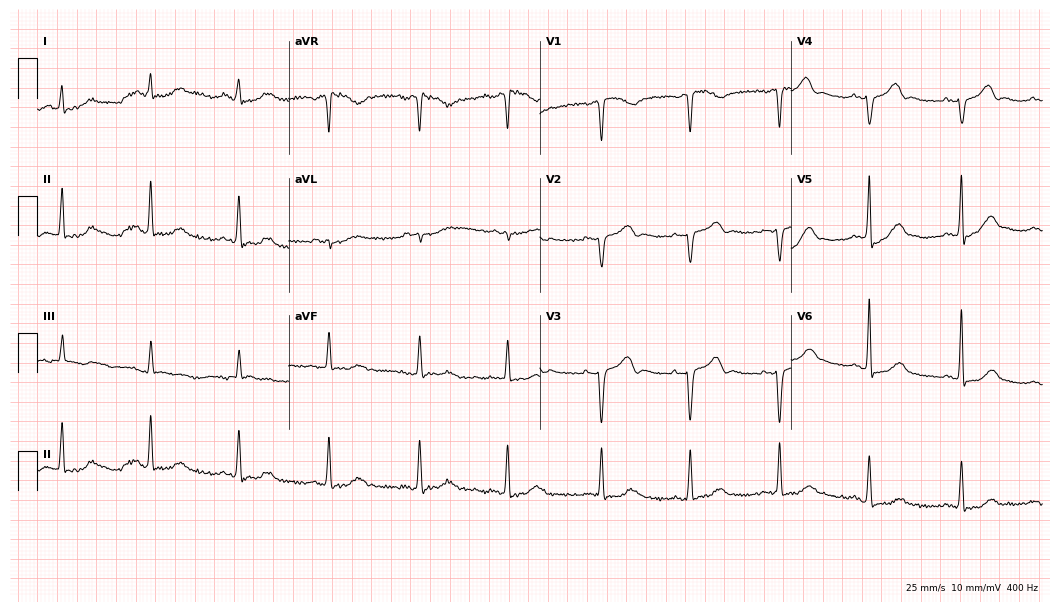
ECG (10.2-second recording at 400 Hz) — a female, 73 years old. Screened for six findings — first-degree AV block, right bundle branch block, left bundle branch block, sinus bradycardia, atrial fibrillation, sinus tachycardia — none is recorded.